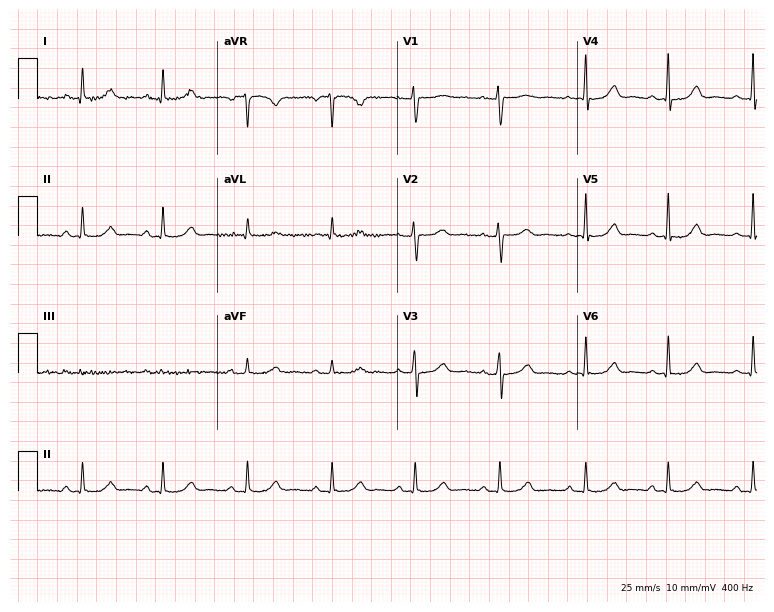
ECG (7.3-second recording at 400 Hz) — a 38-year-old woman. Screened for six findings — first-degree AV block, right bundle branch block, left bundle branch block, sinus bradycardia, atrial fibrillation, sinus tachycardia — none is recorded.